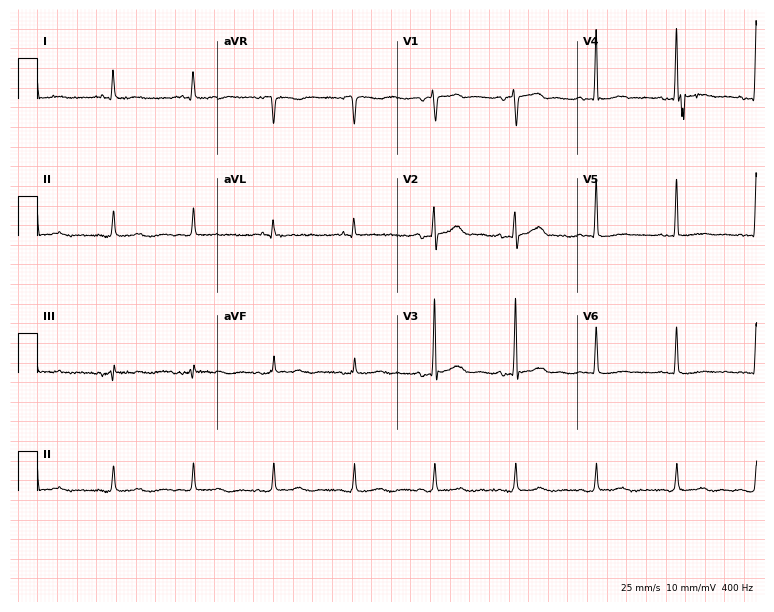
12-lead ECG from a 74-year-old woman (7.3-second recording at 400 Hz). No first-degree AV block, right bundle branch block, left bundle branch block, sinus bradycardia, atrial fibrillation or sinus tachycardia recorded for this tracing. Other findings, if any, are not listed.